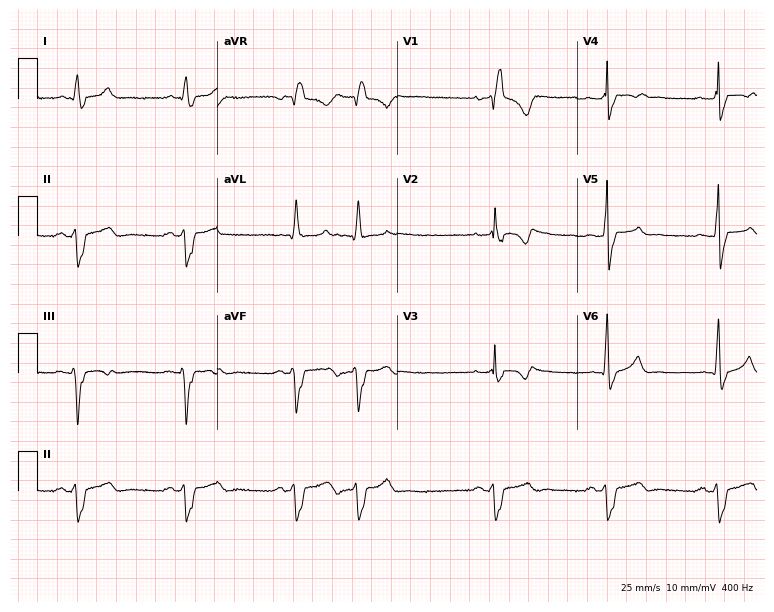
12-lead ECG (7.3-second recording at 400 Hz) from a male, 35 years old. Findings include right bundle branch block.